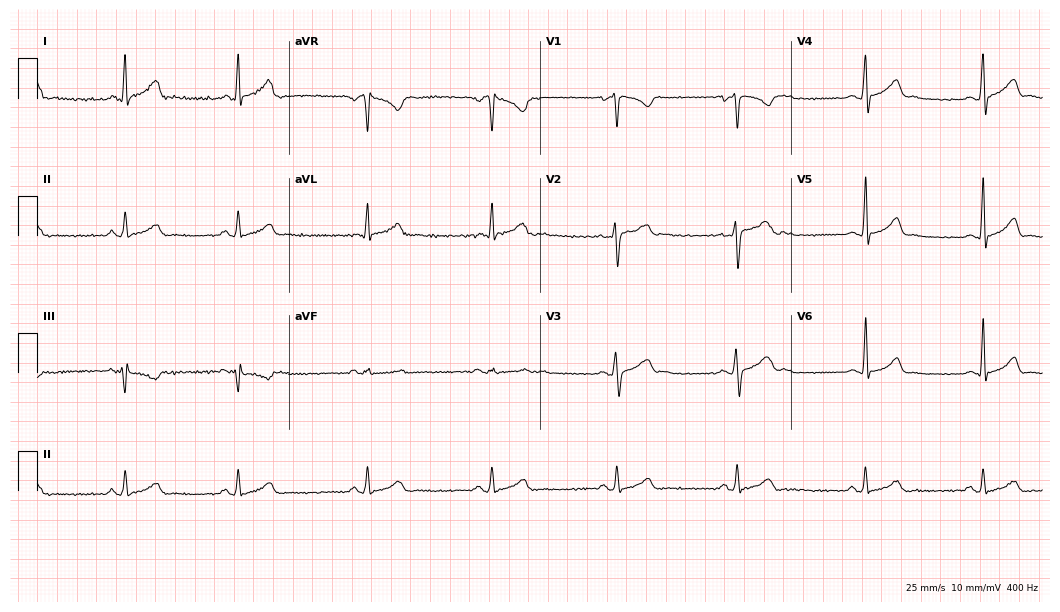
Resting 12-lead electrocardiogram. Patient: a male, 20 years old. The tracing shows sinus bradycardia (a sinus rate of 50 beats per minute or less).